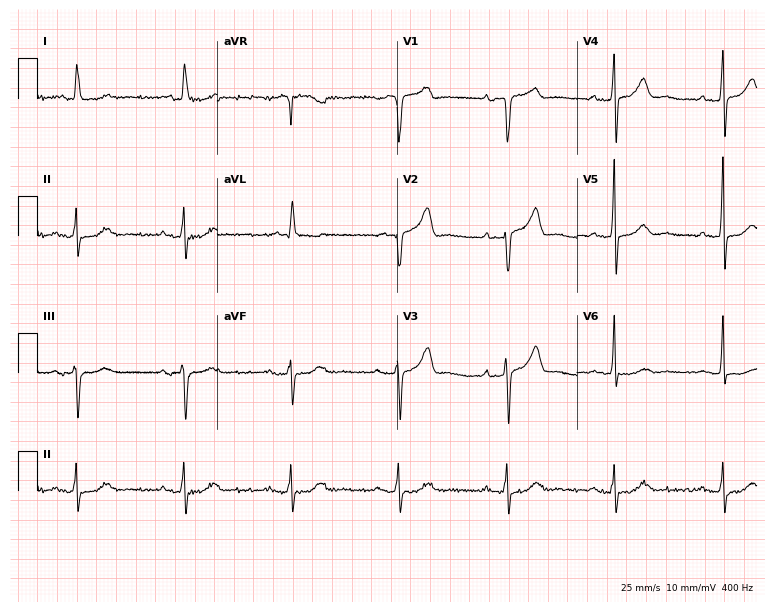
Resting 12-lead electrocardiogram. Patient: a 72-year-old male. Read as a normal ECG.